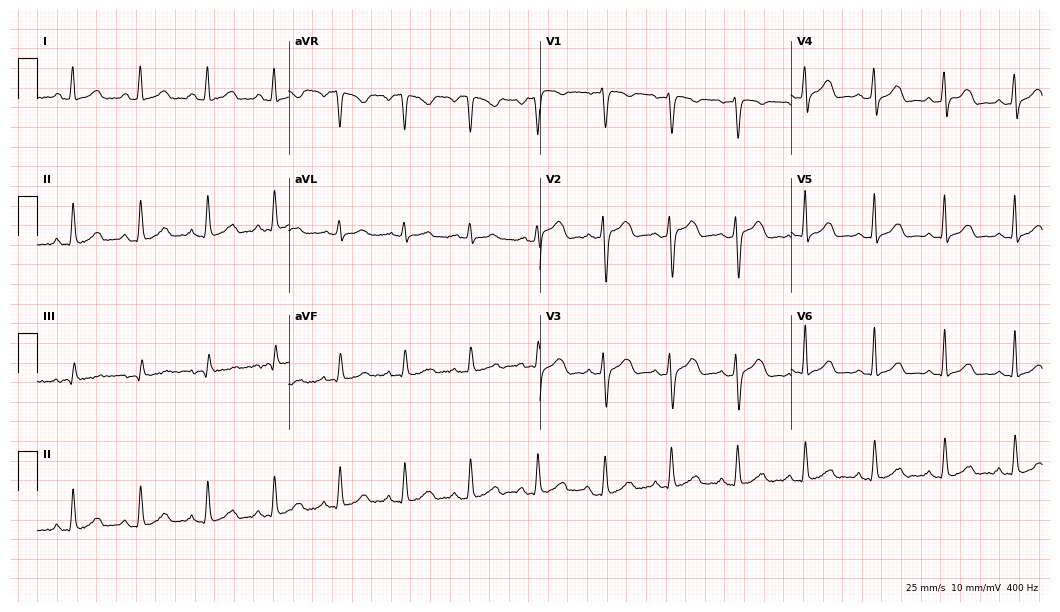
12-lead ECG from a female, 36 years old. No first-degree AV block, right bundle branch block (RBBB), left bundle branch block (LBBB), sinus bradycardia, atrial fibrillation (AF) or sinus tachycardia recorded for this tracing. Other findings, if any, are not listed.